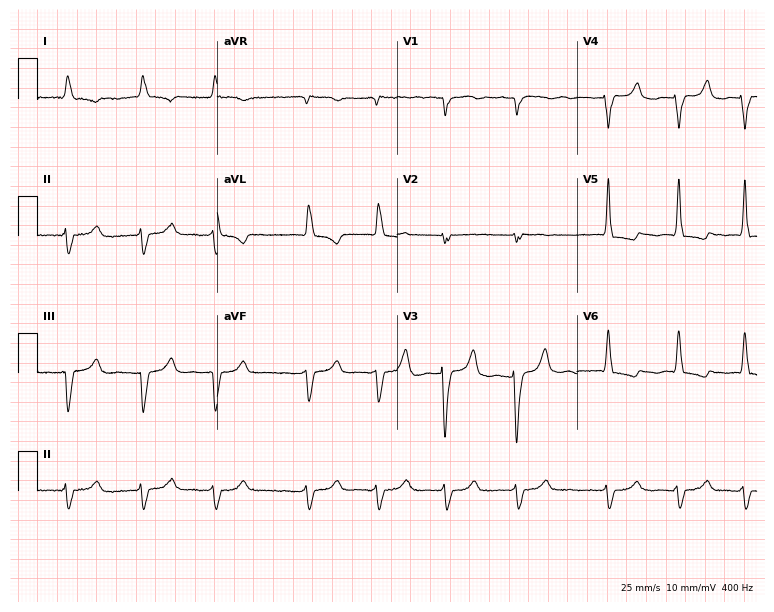
Resting 12-lead electrocardiogram. Patient: a female, 83 years old. The tracing shows atrial fibrillation.